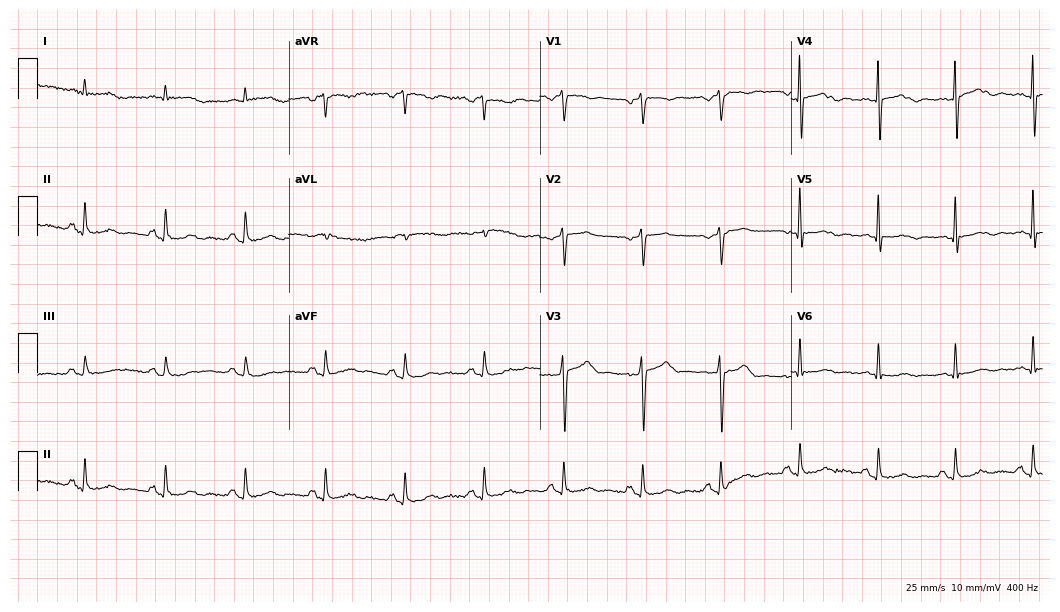
12-lead ECG from a 68-year-old male patient (10.2-second recording at 400 Hz). No first-degree AV block, right bundle branch block, left bundle branch block, sinus bradycardia, atrial fibrillation or sinus tachycardia recorded for this tracing. Findings outside these six are not listed.